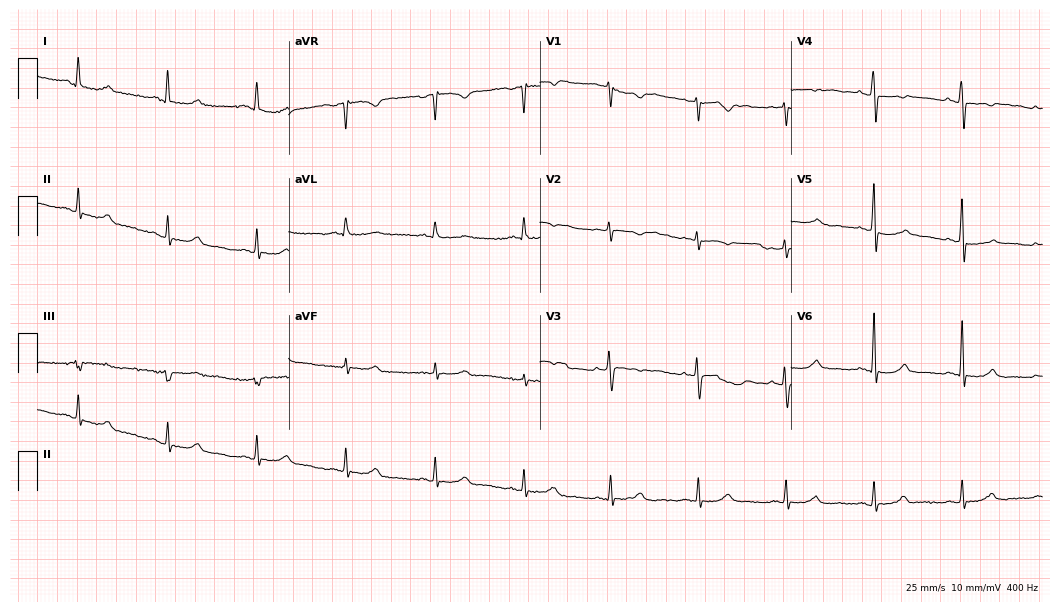
ECG — a woman, 62 years old. Labelled as a normal ECG.